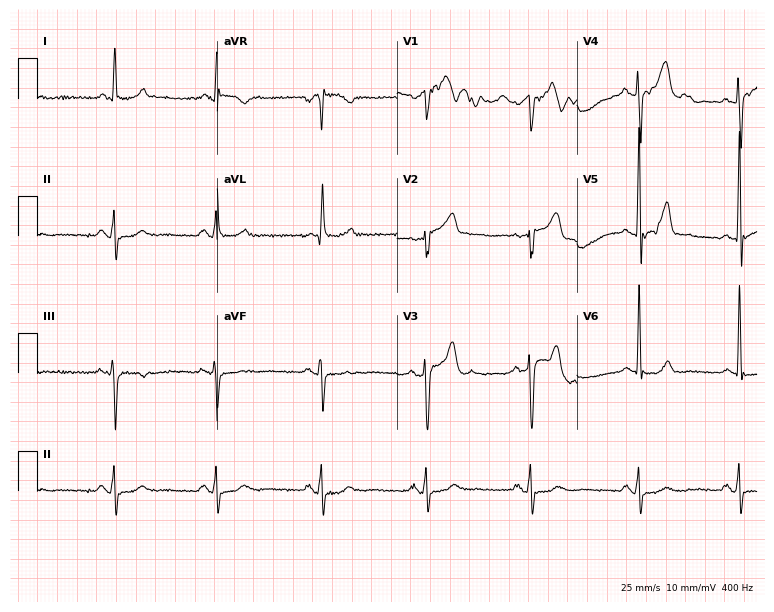
Standard 12-lead ECG recorded from a man, 44 years old (7.3-second recording at 400 Hz). None of these six findings is recorded: first-degree AV block, right bundle branch block, left bundle branch block, sinus bradycardia, atrial fibrillation, sinus tachycardia. Only these six findings were labelled.